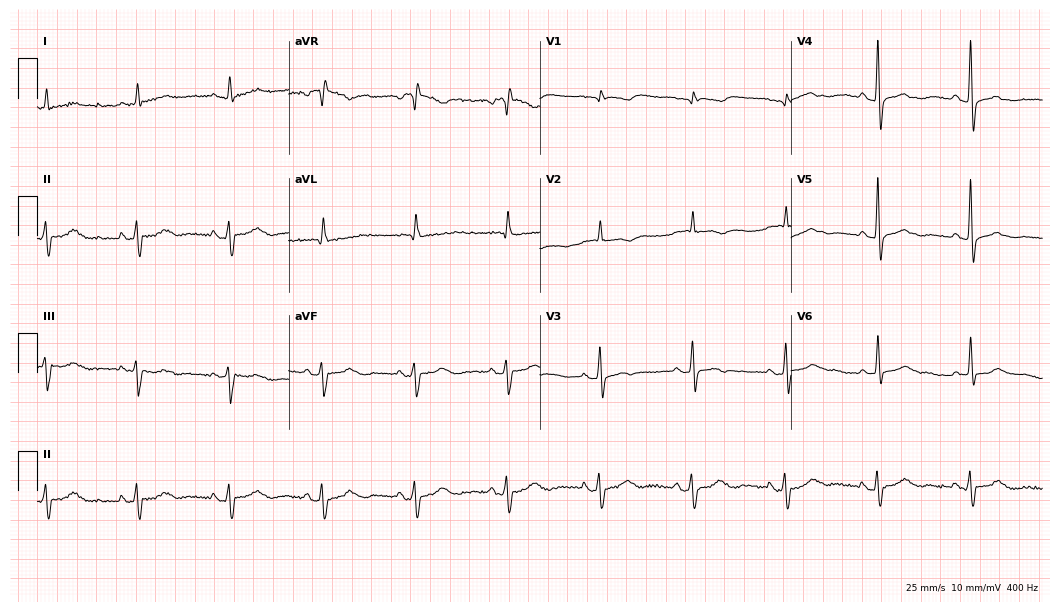
Resting 12-lead electrocardiogram. Patient: a woman, 75 years old. None of these six findings is recorded: first-degree AV block, right bundle branch block, left bundle branch block, sinus bradycardia, atrial fibrillation, sinus tachycardia.